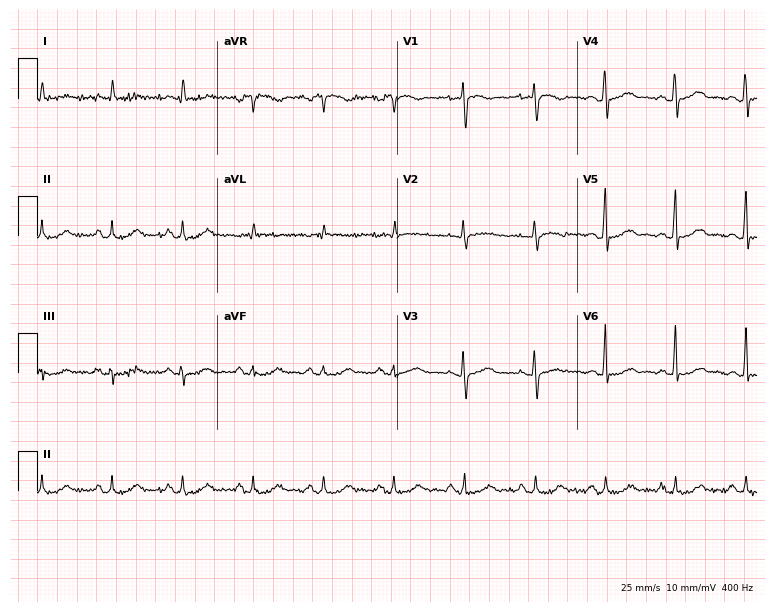
ECG — a 79-year-old female. Screened for six findings — first-degree AV block, right bundle branch block (RBBB), left bundle branch block (LBBB), sinus bradycardia, atrial fibrillation (AF), sinus tachycardia — none is recorded. Other findings, if any, are not listed.